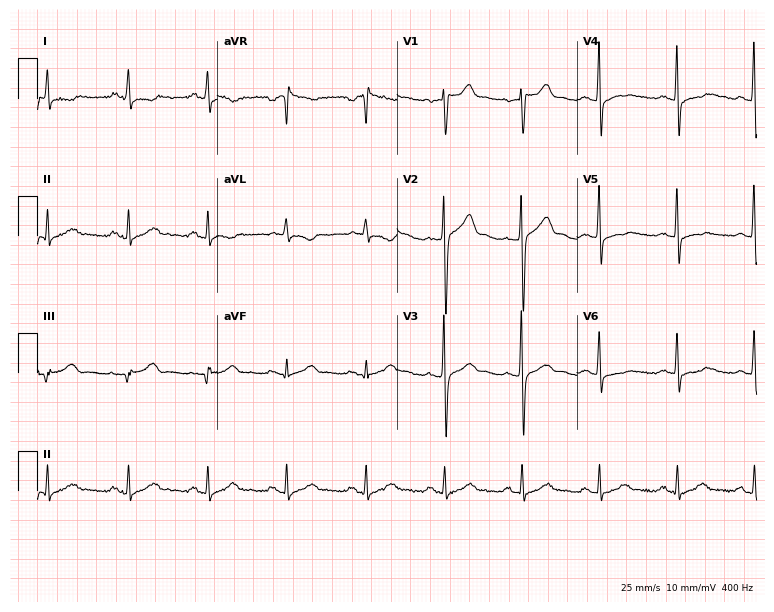
12-lead ECG from a man, 58 years old. Recorded interpretation: within normal limits.